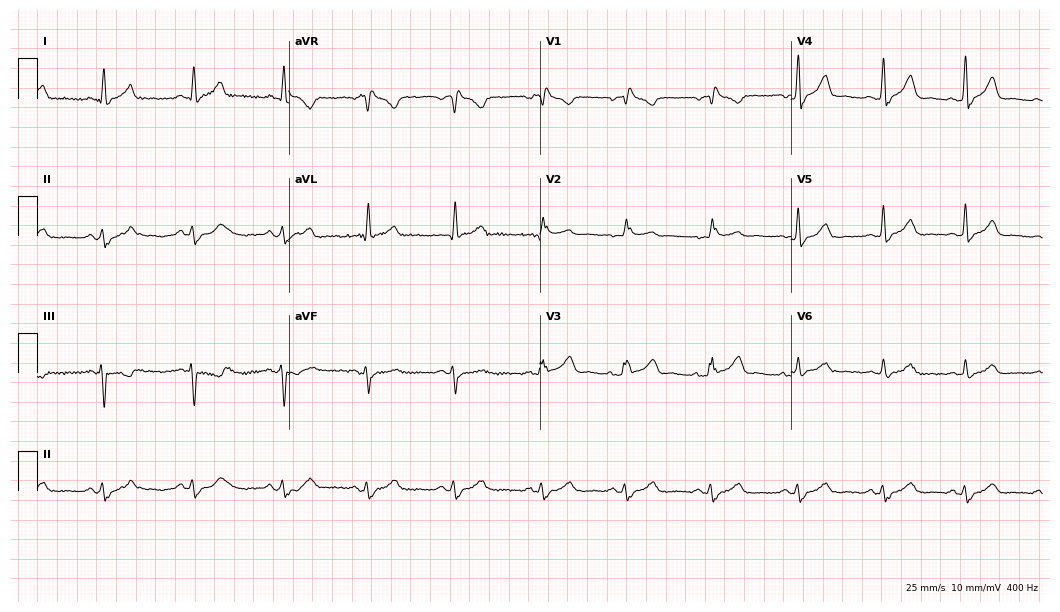
12-lead ECG (10.2-second recording at 400 Hz) from a 57-year-old woman. Findings include right bundle branch block.